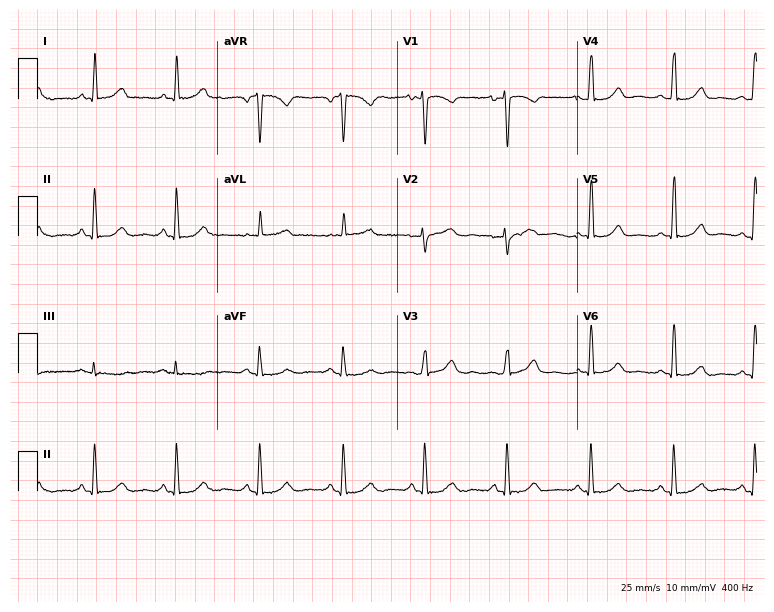
Electrocardiogram, a 45-year-old female. Of the six screened findings (first-degree AV block, right bundle branch block, left bundle branch block, sinus bradycardia, atrial fibrillation, sinus tachycardia), none is recorded.